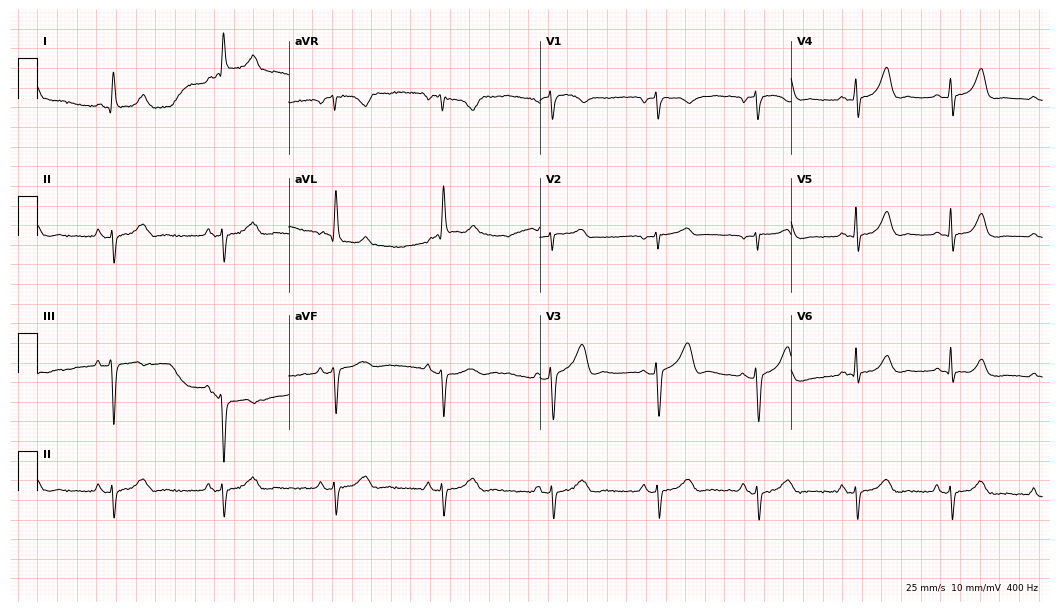
12-lead ECG (10.2-second recording at 400 Hz) from a female patient, 39 years old. Screened for six findings — first-degree AV block, right bundle branch block, left bundle branch block, sinus bradycardia, atrial fibrillation, sinus tachycardia — none is recorded.